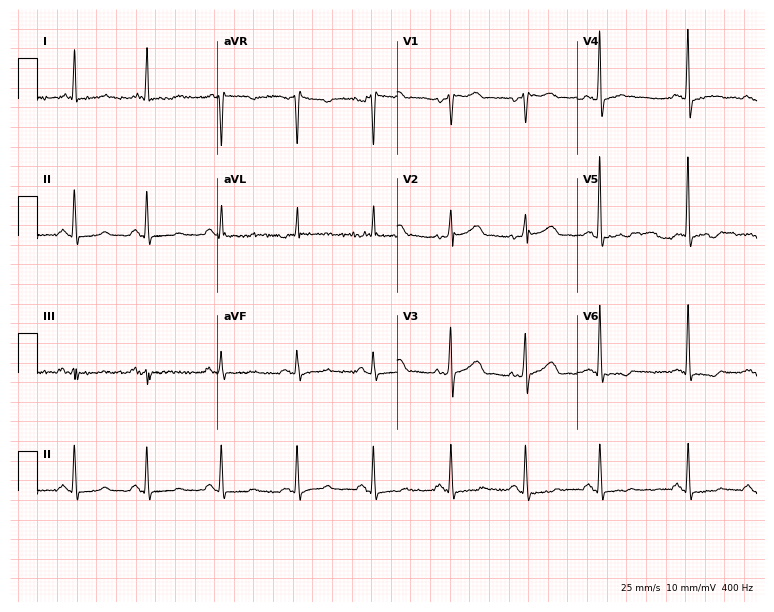
12-lead ECG from a 77-year-old female. Screened for six findings — first-degree AV block, right bundle branch block, left bundle branch block, sinus bradycardia, atrial fibrillation, sinus tachycardia — none is recorded.